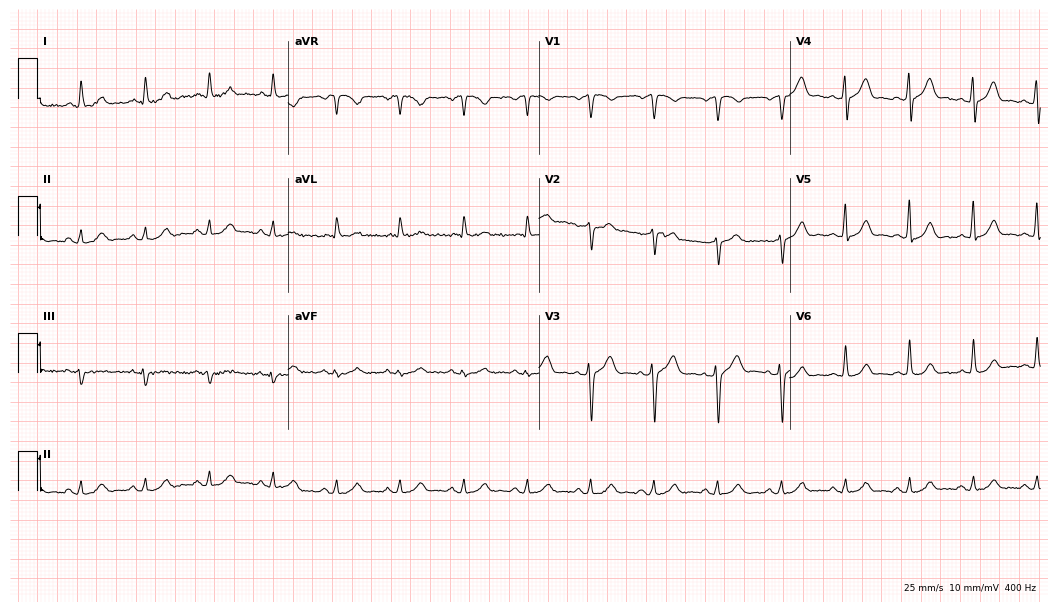
ECG — an 85-year-old male. Labelled as a normal ECG.